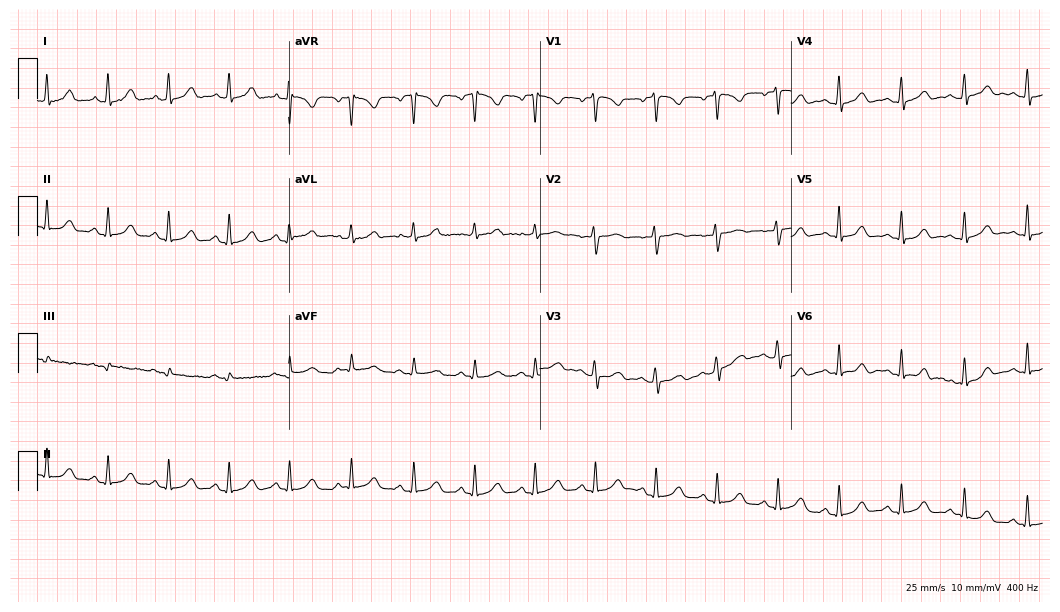
Electrocardiogram, a woman, 40 years old. Overall reading on record: normal ECG.